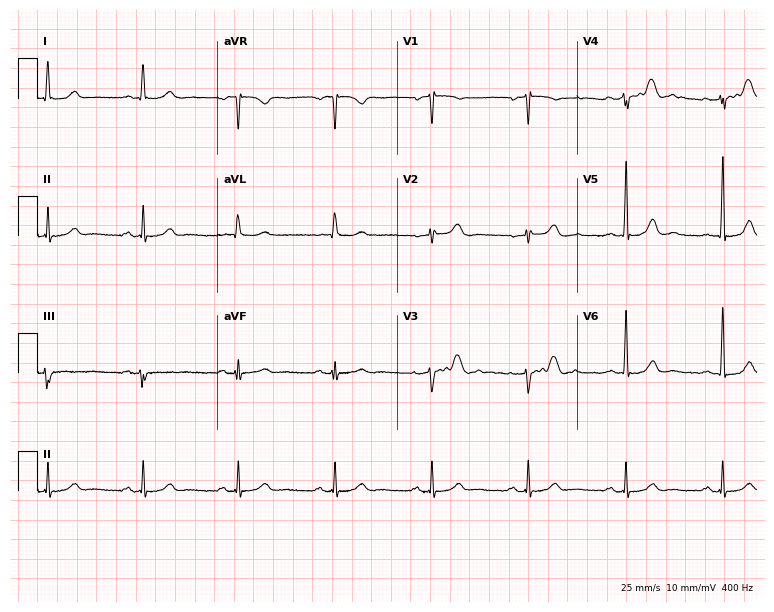
Resting 12-lead electrocardiogram. Patient: a 68-year-old woman. Read as a normal ECG.